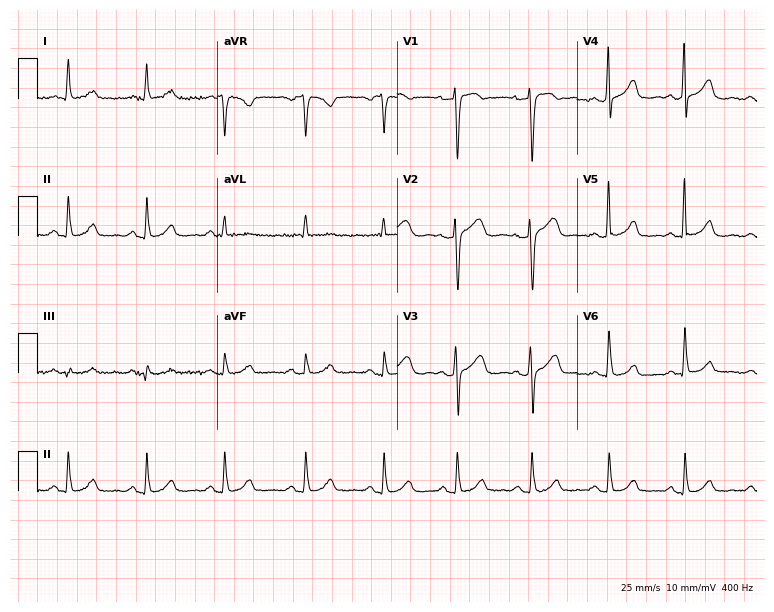
12-lead ECG from a female, 41 years old. Recorded interpretation: within normal limits.